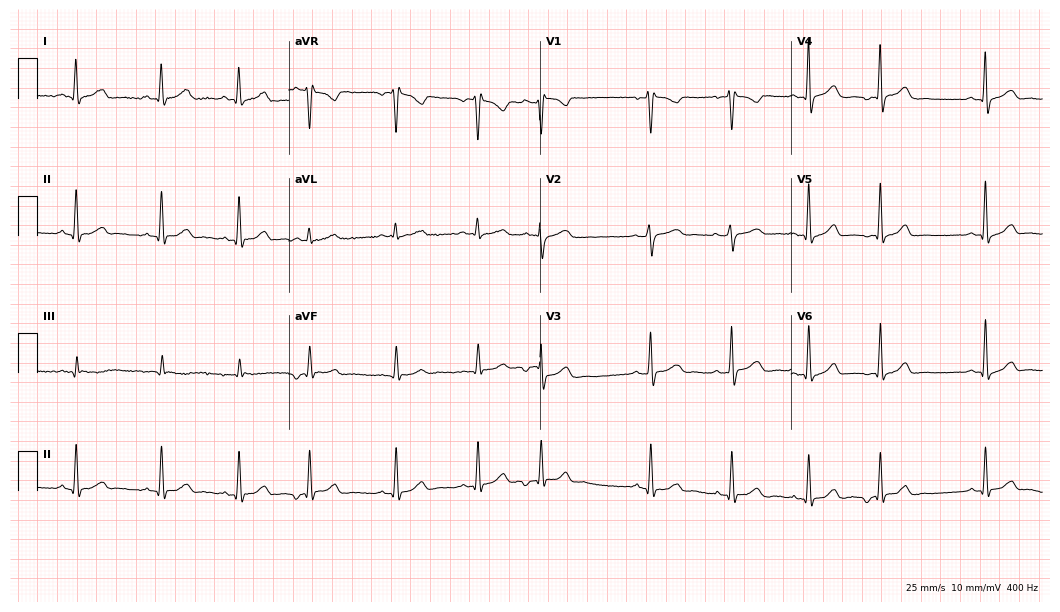
ECG — a female patient, 34 years old. Screened for six findings — first-degree AV block, right bundle branch block, left bundle branch block, sinus bradycardia, atrial fibrillation, sinus tachycardia — none is recorded.